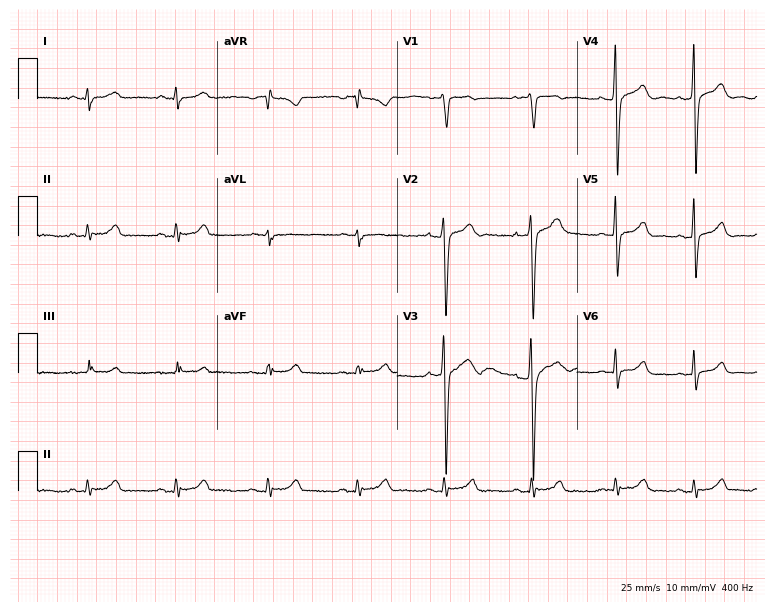
12-lead ECG (7.3-second recording at 400 Hz) from a man, 36 years old. Screened for six findings — first-degree AV block, right bundle branch block, left bundle branch block, sinus bradycardia, atrial fibrillation, sinus tachycardia — none is recorded.